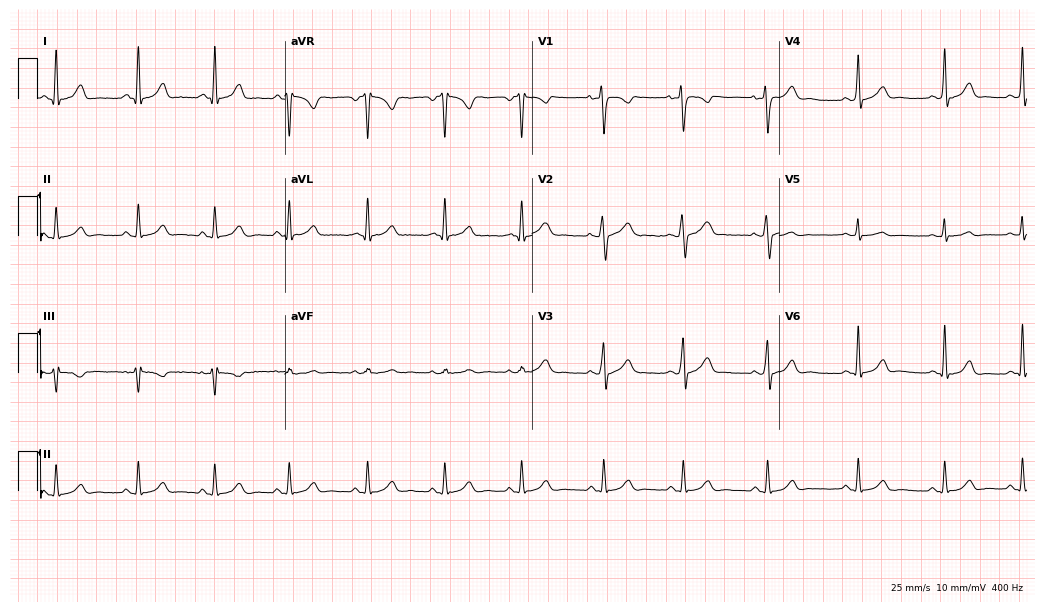
Electrocardiogram, a woman, 24 years old. Of the six screened findings (first-degree AV block, right bundle branch block (RBBB), left bundle branch block (LBBB), sinus bradycardia, atrial fibrillation (AF), sinus tachycardia), none is recorded.